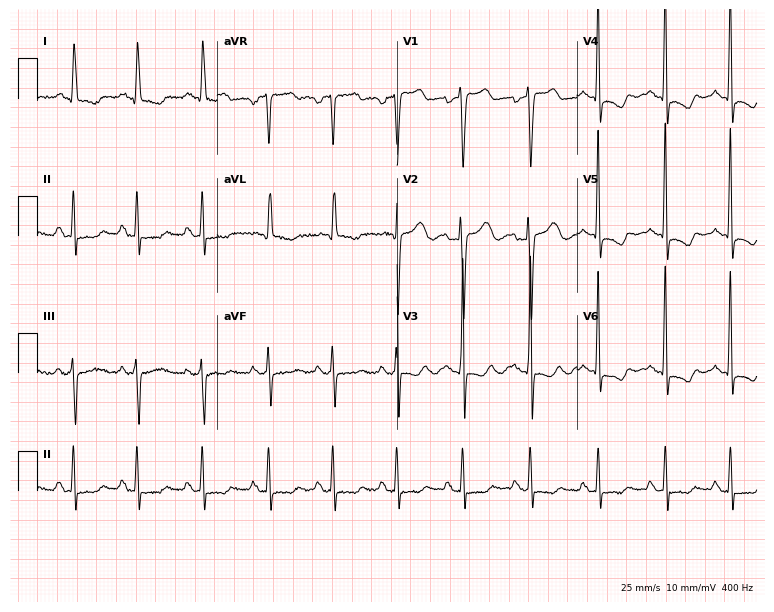
Resting 12-lead electrocardiogram. Patient: a female, 53 years old. None of these six findings is recorded: first-degree AV block, right bundle branch block (RBBB), left bundle branch block (LBBB), sinus bradycardia, atrial fibrillation (AF), sinus tachycardia.